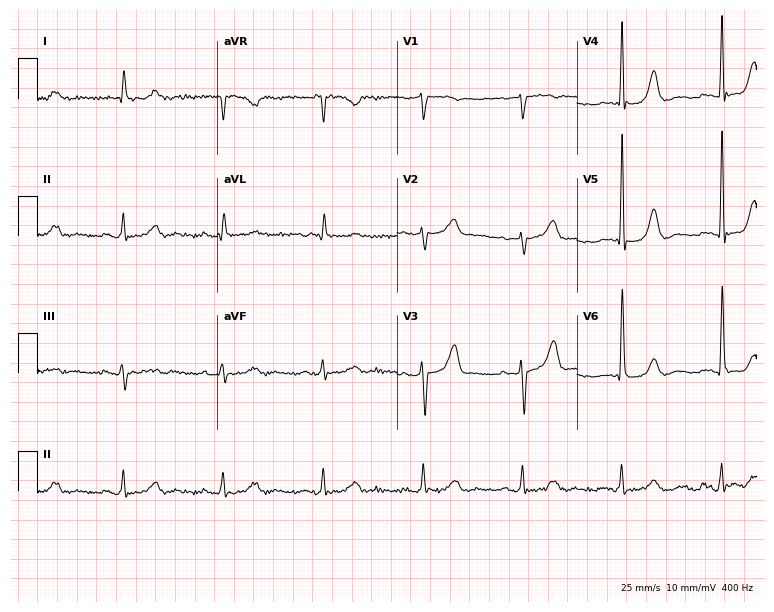
Electrocardiogram (7.3-second recording at 400 Hz), an 85-year-old man. Of the six screened findings (first-degree AV block, right bundle branch block (RBBB), left bundle branch block (LBBB), sinus bradycardia, atrial fibrillation (AF), sinus tachycardia), none is recorded. Other findings, if any, are not listed.